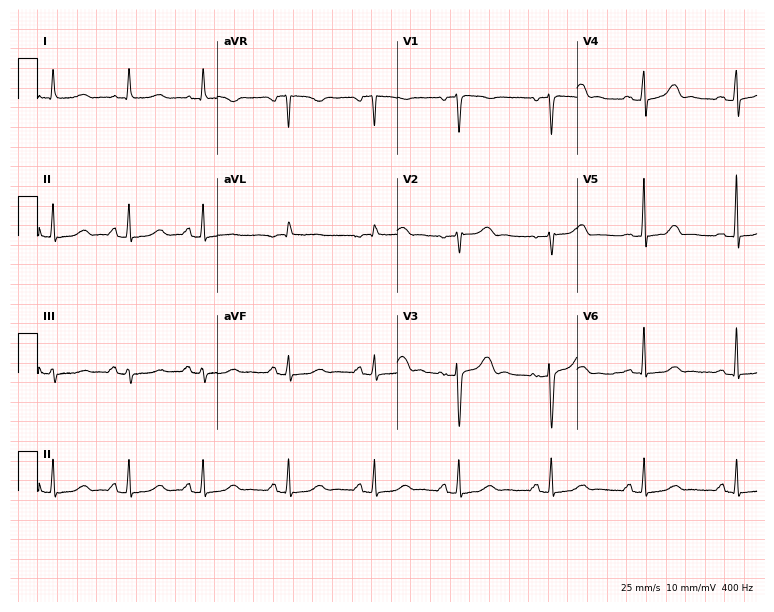
Electrocardiogram (7.3-second recording at 400 Hz), a 59-year-old woman. Of the six screened findings (first-degree AV block, right bundle branch block, left bundle branch block, sinus bradycardia, atrial fibrillation, sinus tachycardia), none is recorded.